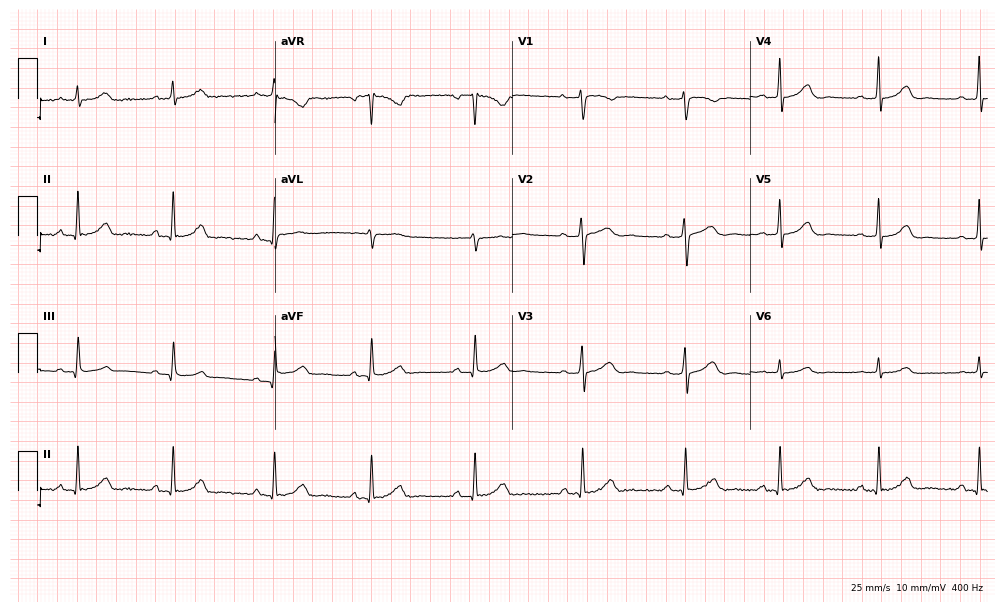
12-lead ECG from a female, 36 years old. Recorded interpretation: within normal limits.